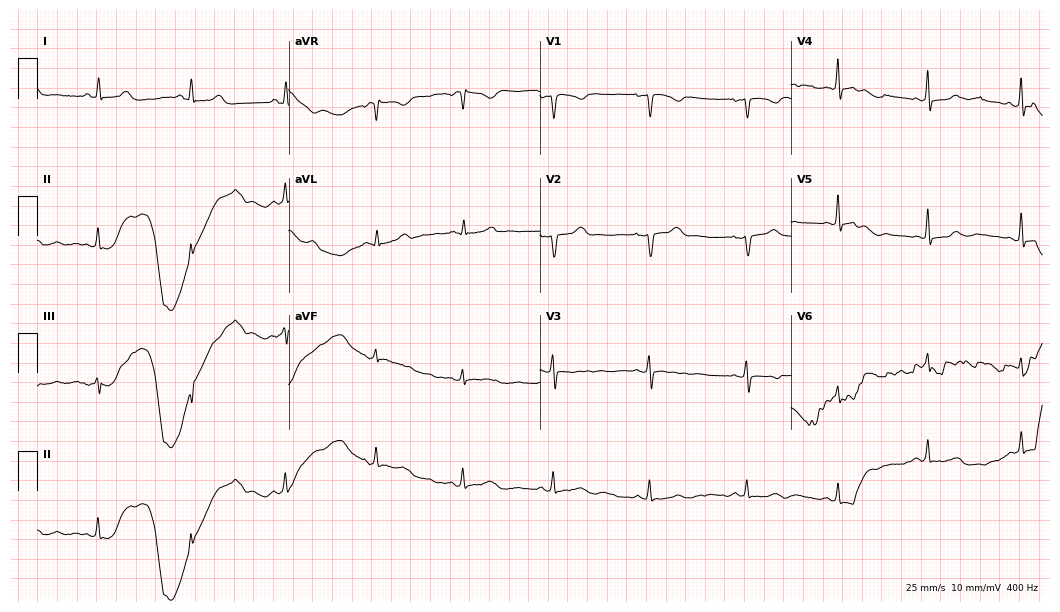
12-lead ECG from a 47-year-old woman. No first-degree AV block, right bundle branch block, left bundle branch block, sinus bradycardia, atrial fibrillation or sinus tachycardia recorded for this tracing.